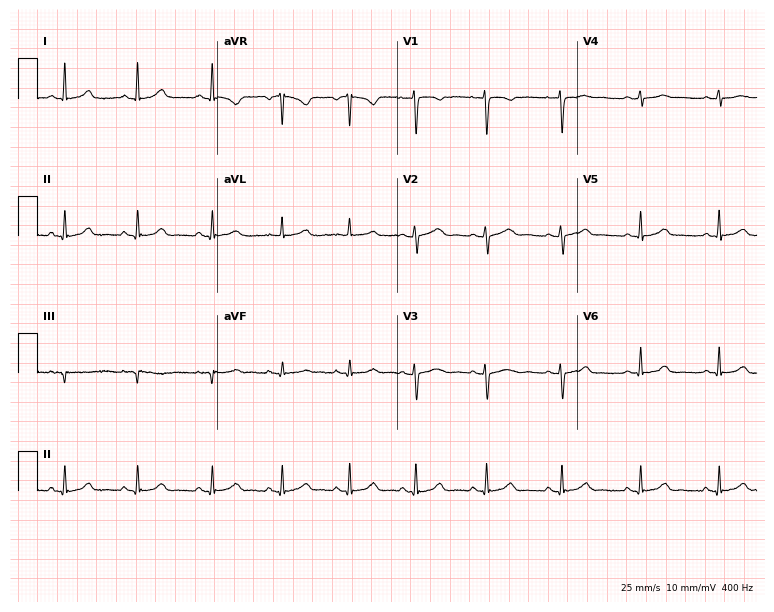
Electrocardiogram, a 29-year-old female. Overall reading on record: normal ECG.